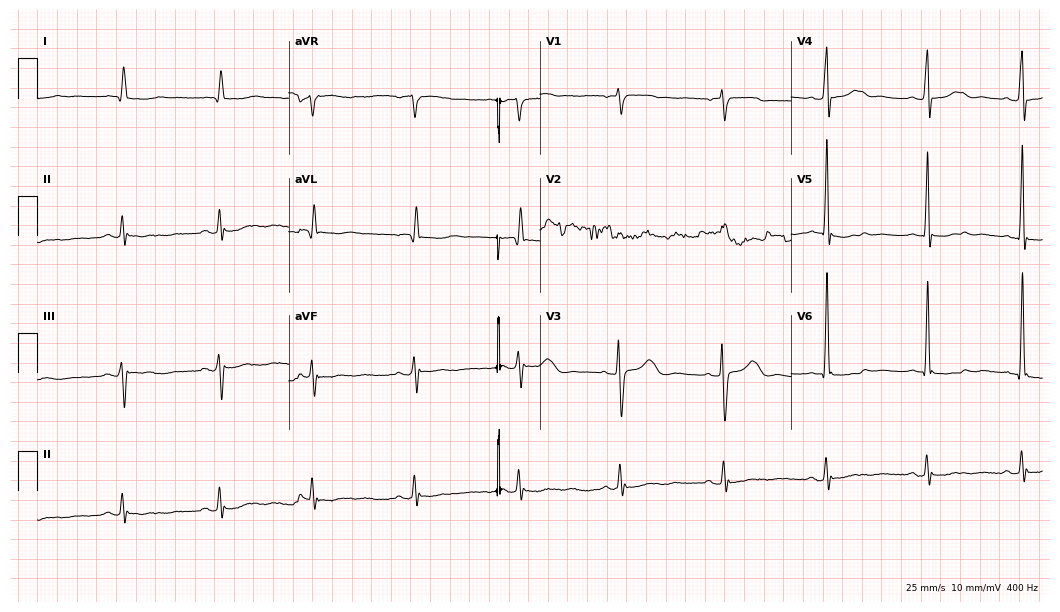
ECG (10.2-second recording at 400 Hz) — an 81-year-old woman. Screened for six findings — first-degree AV block, right bundle branch block, left bundle branch block, sinus bradycardia, atrial fibrillation, sinus tachycardia — none is recorded. Only these six findings were labelled.